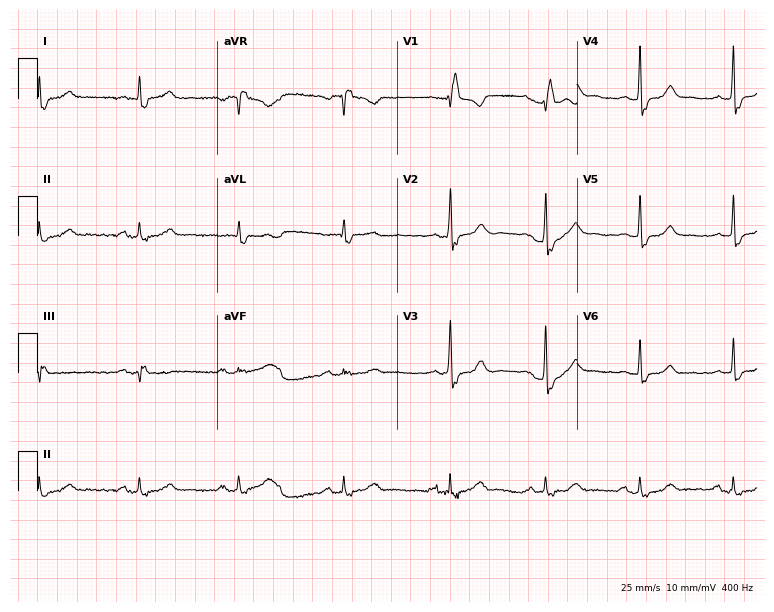
Electrocardiogram (7.3-second recording at 400 Hz), a 72-year-old male. Interpretation includes right bundle branch block (RBBB).